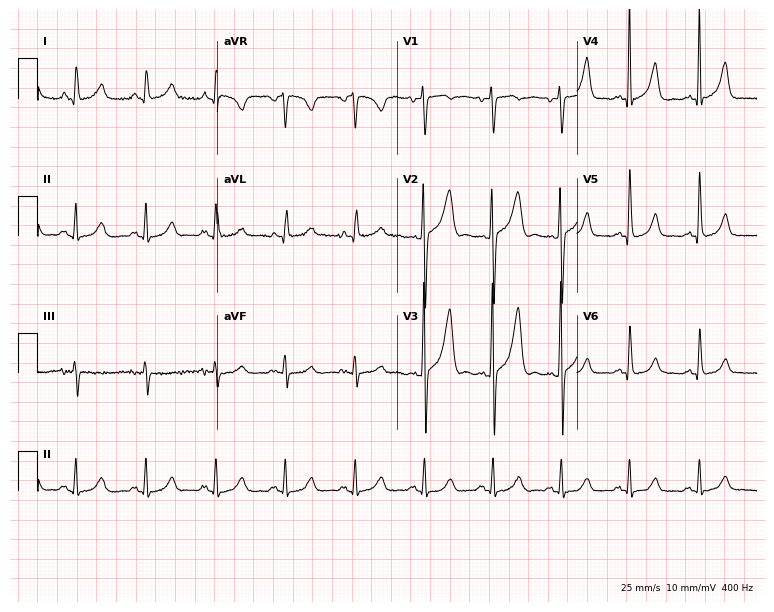
ECG — a man, 38 years old. Labelled as a normal ECG.